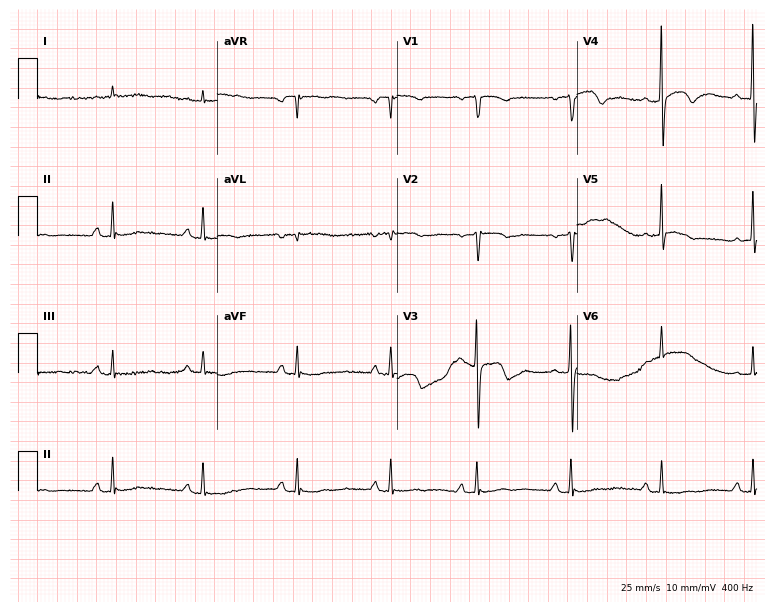
Resting 12-lead electrocardiogram. Patient: a female, 83 years old. None of these six findings is recorded: first-degree AV block, right bundle branch block (RBBB), left bundle branch block (LBBB), sinus bradycardia, atrial fibrillation (AF), sinus tachycardia.